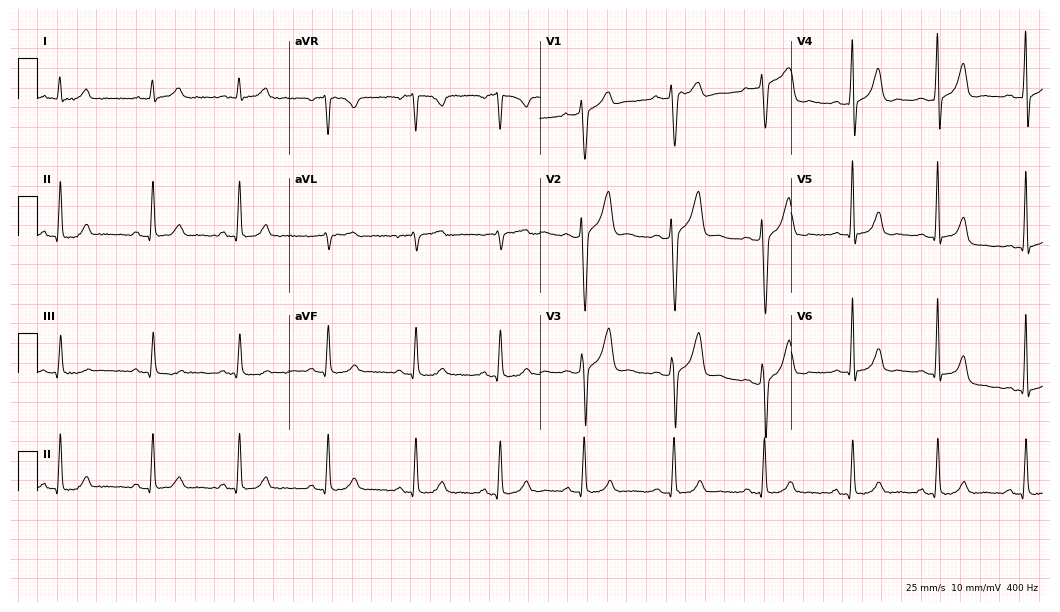
Resting 12-lead electrocardiogram. Patient: a male, 47 years old. Read as a normal ECG.